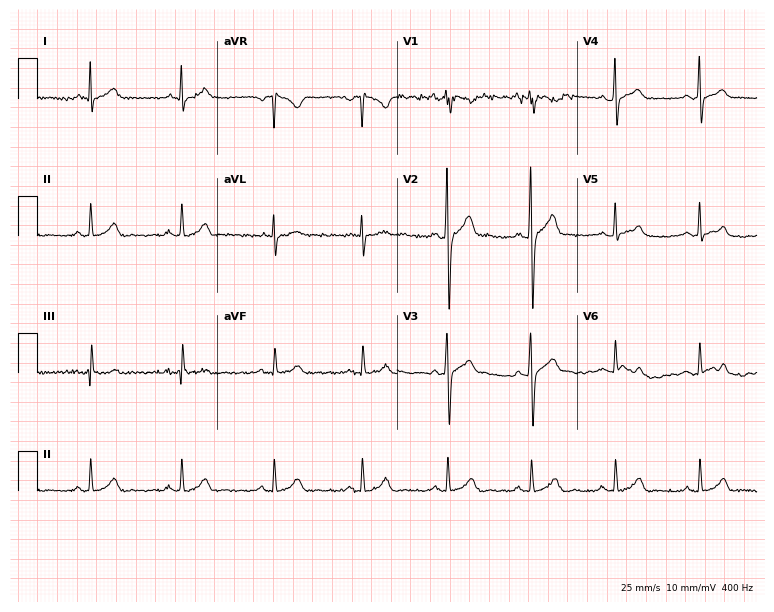
Standard 12-lead ECG recorded from a 30-year-old man (7.3-second recording at 400 Hz). None of these six findings is recorded: first-degree AV block, right bundle branch block, left bundle branch block, sinus bradycardia, atrial fibrillation, sinus tachycardia.